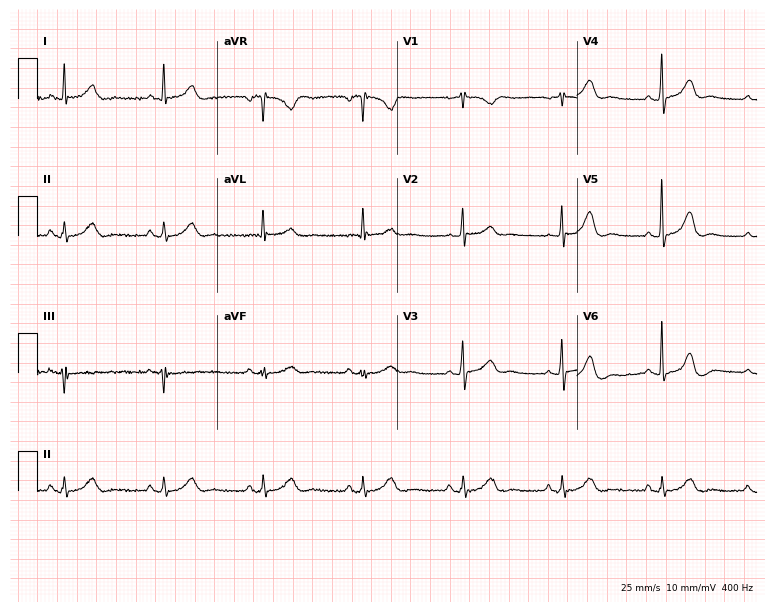
ECG (7.3-second recording at 400 Hz) — a 78-year-old female. Labelled as a normal ECG.